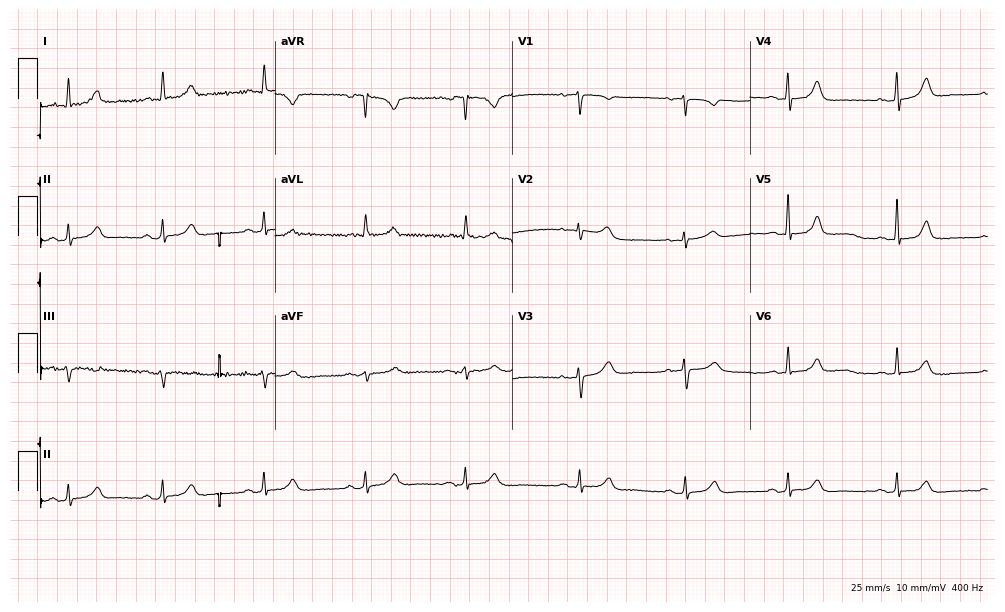
12-lead ECG from an 81-year-old woman. Recorded interpretation: within normal limits.